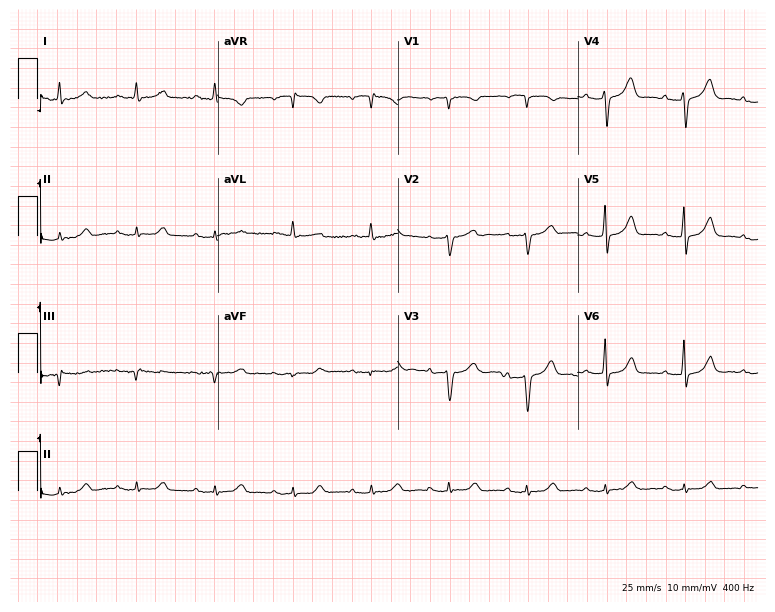
ECG (7.3-second recording at 400 Hz) — a man, 76 years old. Labelled as a normal ECG.